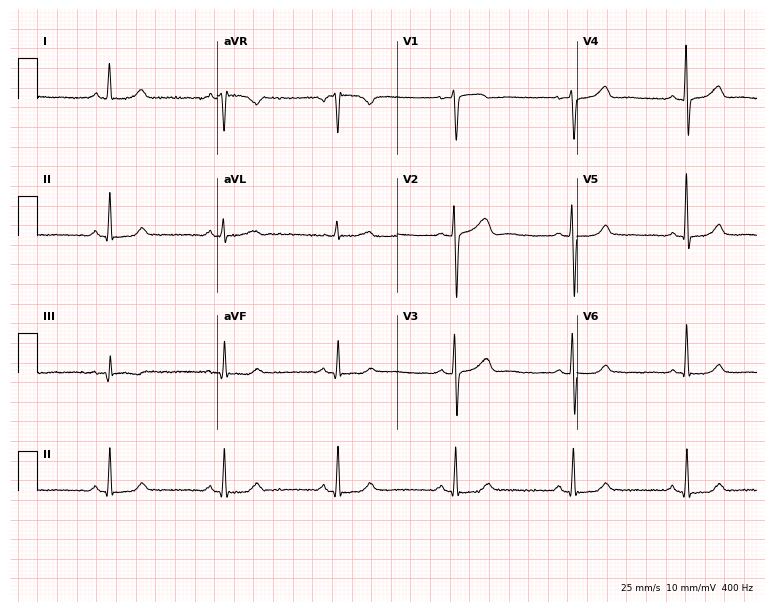
Electrocardiogram (7.3-second recording at 400 Hz), a 59-year-old female. Of the six screened findings (first-degree AV block, right bundle branch block (RBBB), left bundle branch block (LBBB), sinus bradycardia, atrial fibrillation (AF), sinus tachycardia), none is recorded.